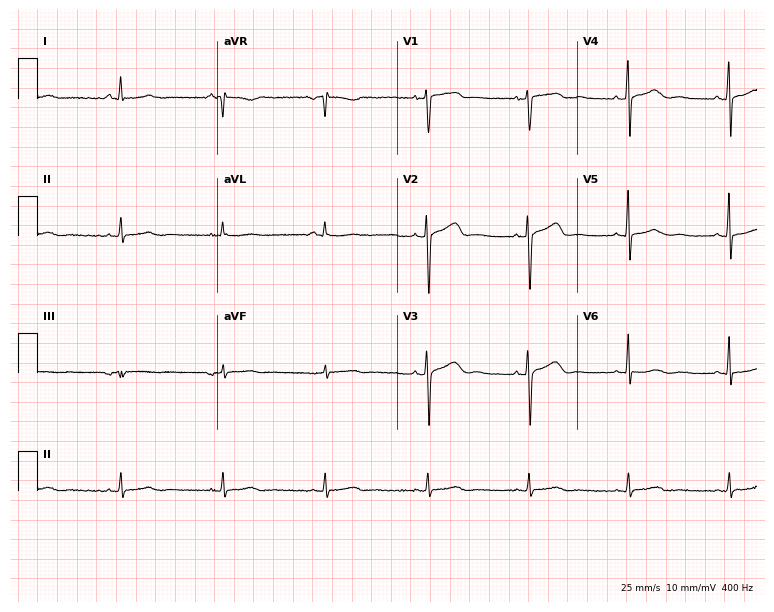
12-lead ECG from a 51-year-old woman. No first-degree AV block, right bundle branch block, left bundle branch block, sinus bradycardia, atrial fibrillation or sinus tachycardia recorded for this tracing.